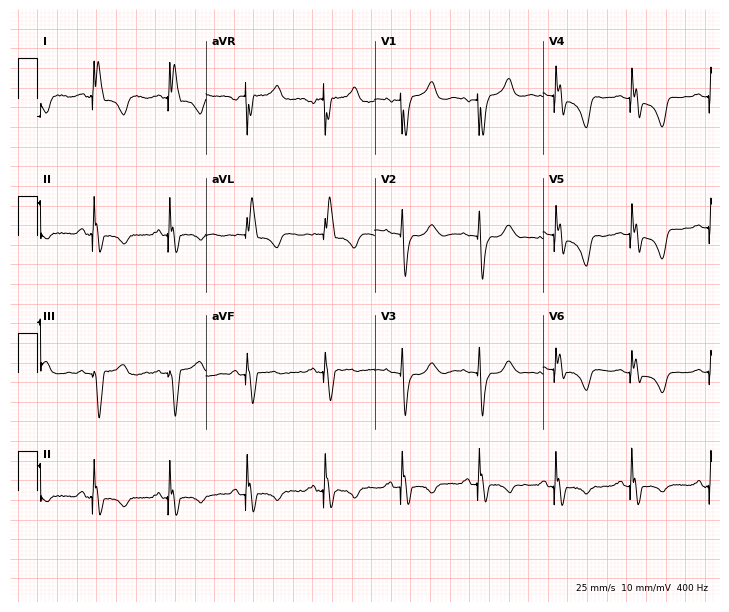
Standard 12-lead ECG recorded from a 69-year-old female (6.9-second recording at 400 Hz). None of these six findings is recorded: first-degree AV block, right bundle branch block, left bundle branch block, sinus bradycardia, atrial fibrillation, sinus tachycardia. Only these six findings were labelled.